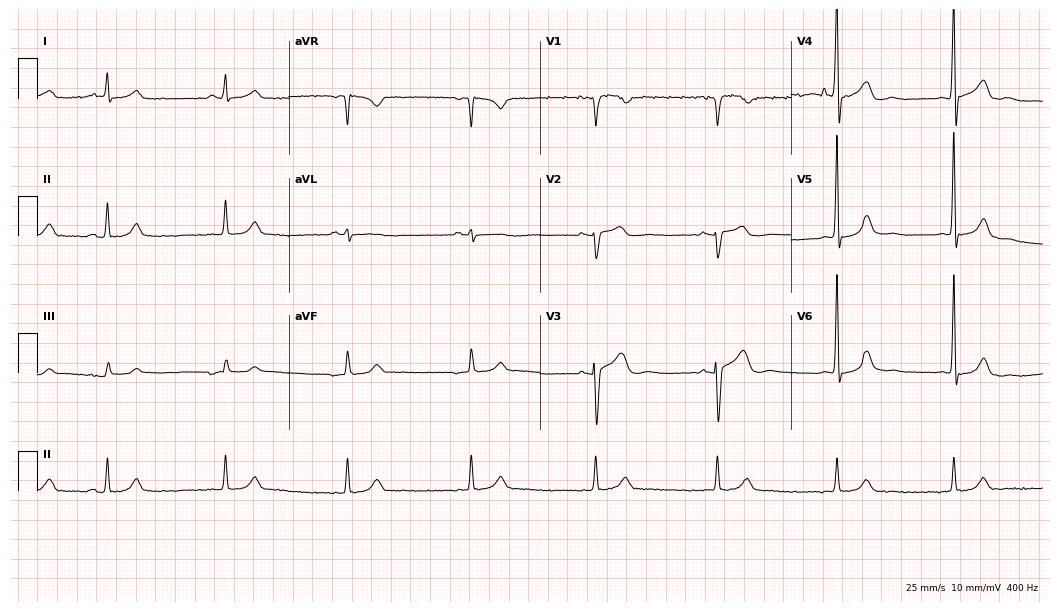
Electrocardiogram (10.2-second recording at 400 Hz), a 71-year-old man. Of the six screened findings (first-degree AV block, right bundle branch block, left bundle branch block, sinus bradycardia, atrial fibrillation, sinus tachycardia), none is recorded. Other findings, if any, are not listed.